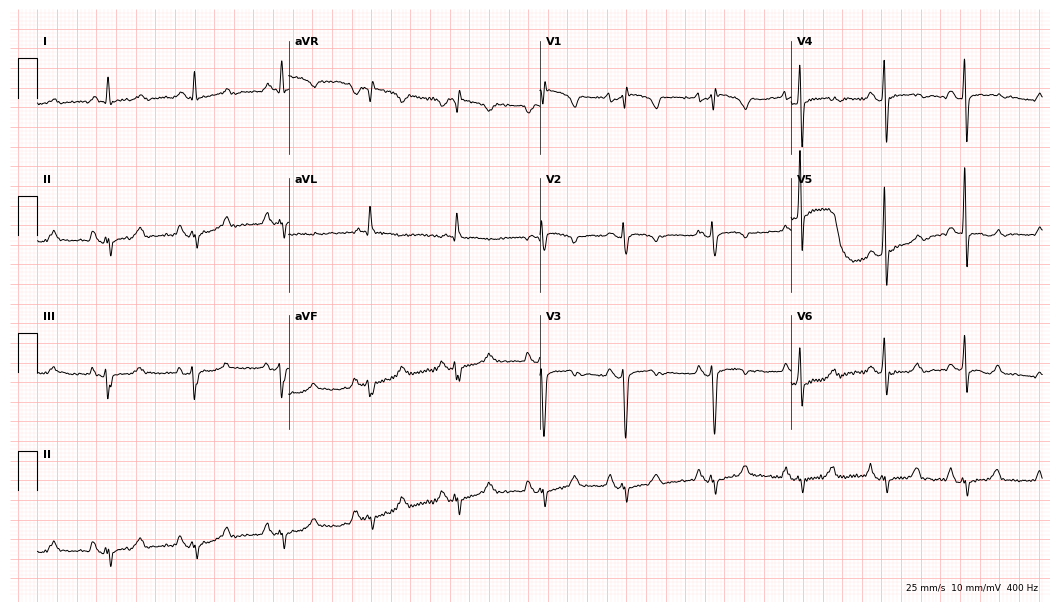
ECG (10.2-second recording at 400 Hz) — a 67-year-old male patient. Screened for six findings — first-degree AV block, right bundle branch block (RBBB), left bundle branch block (LBBB), sinus bradycardia, atrial fibrillation (AF), sinus tachycardia — none is recorded. Other findings, if any, are not listed.